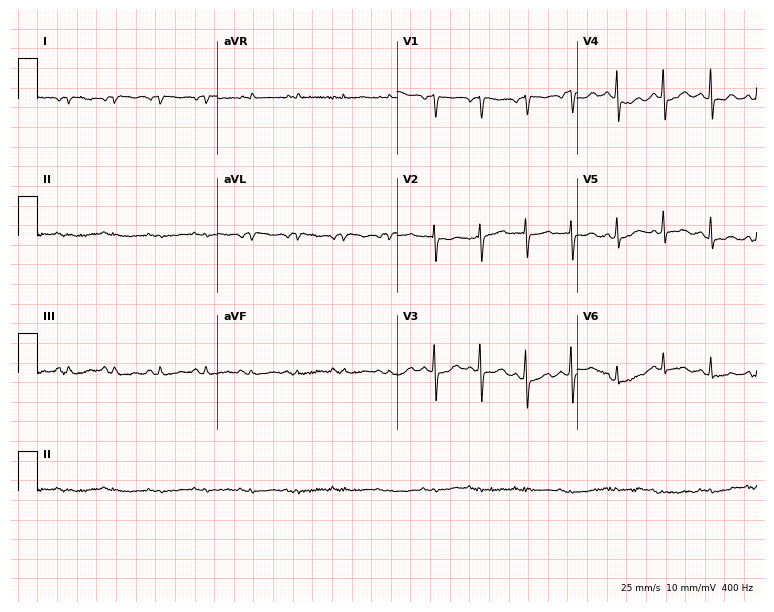
12-lead ECG from a 63-year-old female patient. Screened for six findings — first-degree AV block, right bundle branch block (RBBB), left bundle branch block (LBBB), sinus bradycardia, atrial fibrillation (AF), sinus tachycardia — none is recorded.